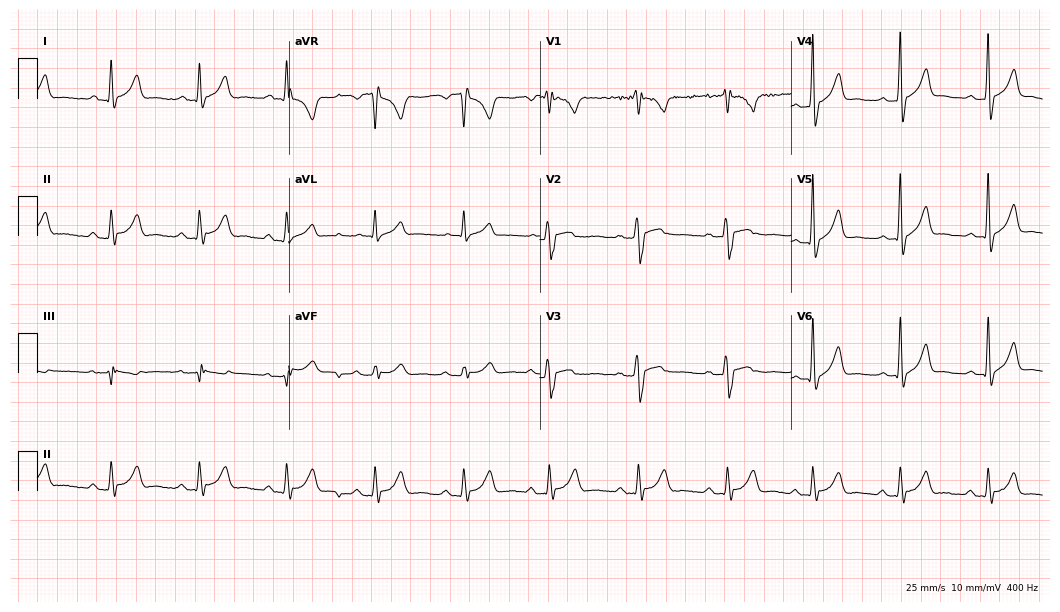
ECG — a man, 21 years old. Labelled as a normal ECG.